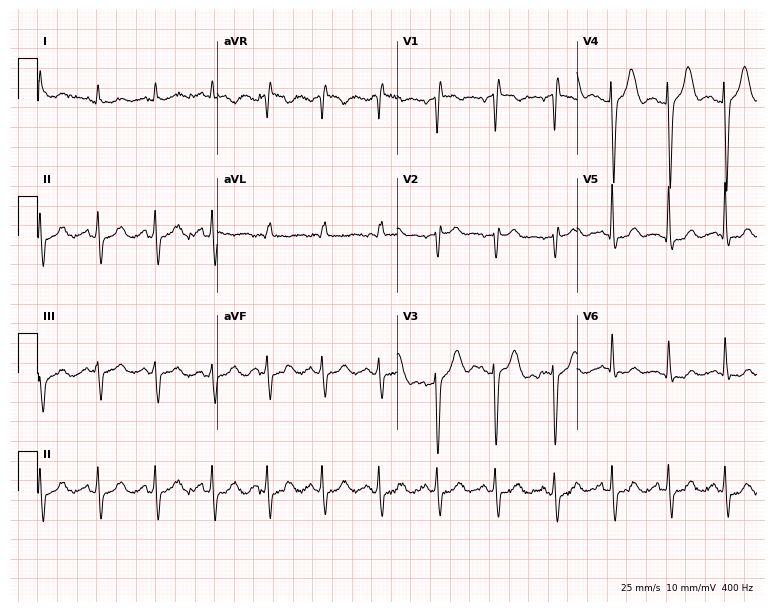
Electrocardiogram, a male patient, 84 years old. Of the six screened findings (first-degree AV block, right bundle branch block, left bundle branch block, sinus bradycardia, atrial fibrillation, sinus tachycardia), none is recorded. Findings outside these six are not listed.